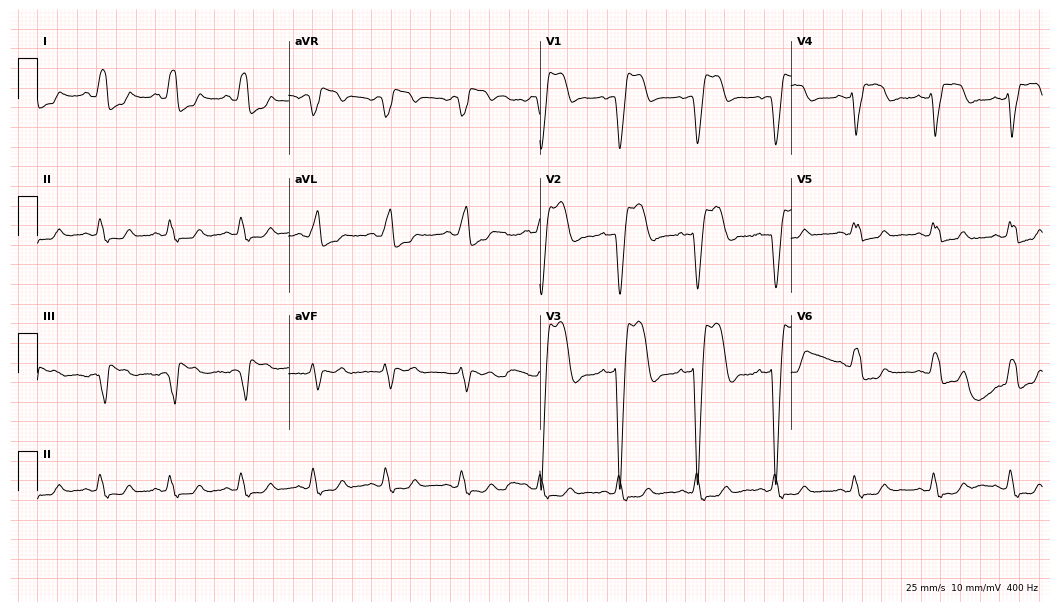
12-lead ECG (10.2-second recording at 400 Hz) from a 41-year-old male patient. Findings include left bundle branch block.